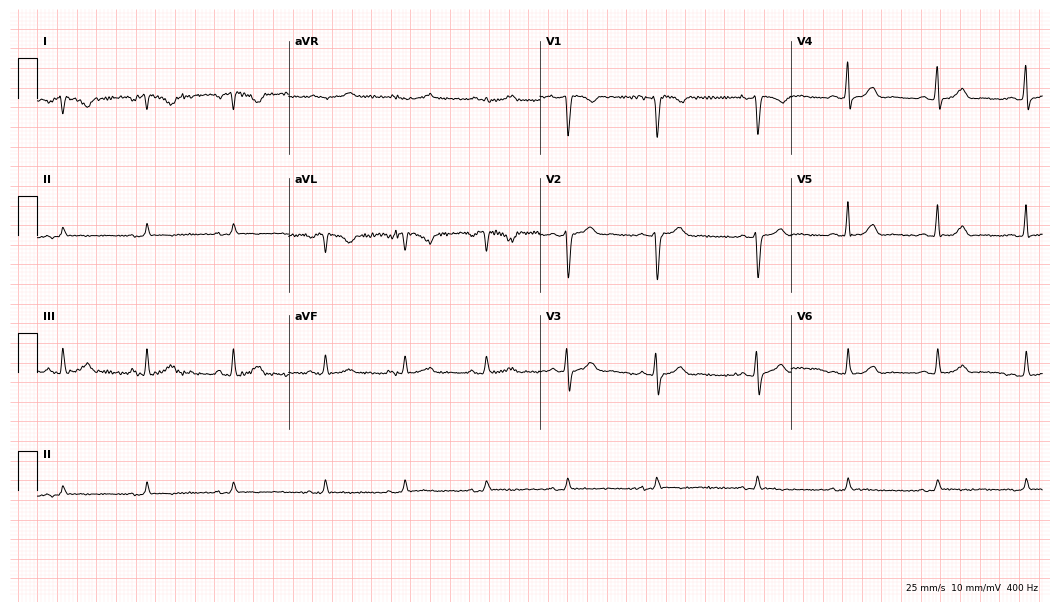
Electrocardiogram (10.2-second recording at 400 Hz), a female patient, 38 years old. Of the six screened findings (first-degree AV block, right bundle branch block (RBBB), left bundle branch block (LBBB), sinus bradycardia, atrial fibrillation (AF), sinus tachycardia), none is recorded.